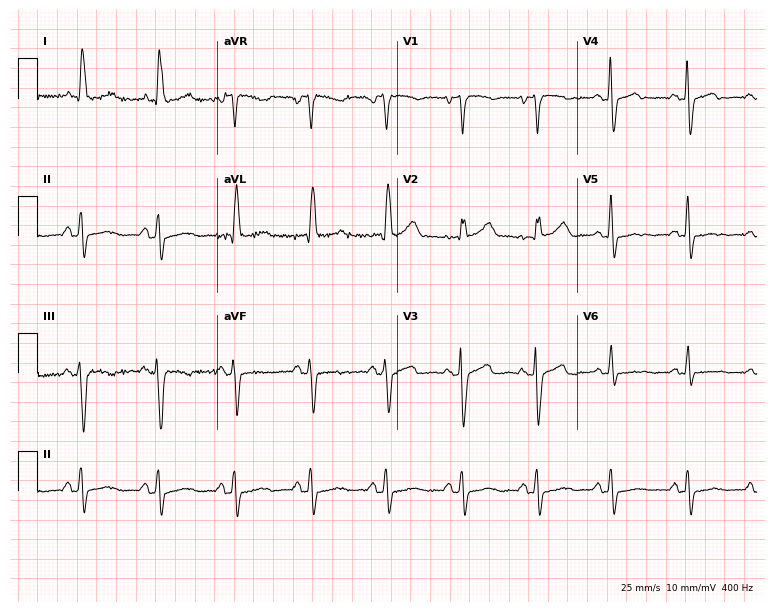
Electrocardiogram (7.3-second recording at 400 Hz), a female, 66 years old. Of the six screened findings (first-degree AV block, right bundle branch block (RBBB), left bundle branch block (LBBB), sinus bradycardia, atrial fibrillation (AF), sinus tachycardia), none is recorded. Other findings, if any, are not listed.